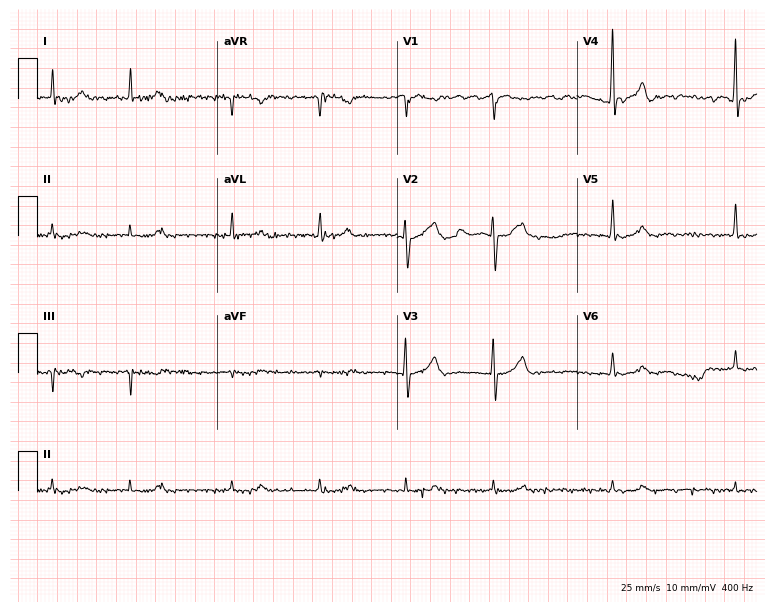
12-lead ECG from a 74-year-old man. Shows atrial fibrillation.